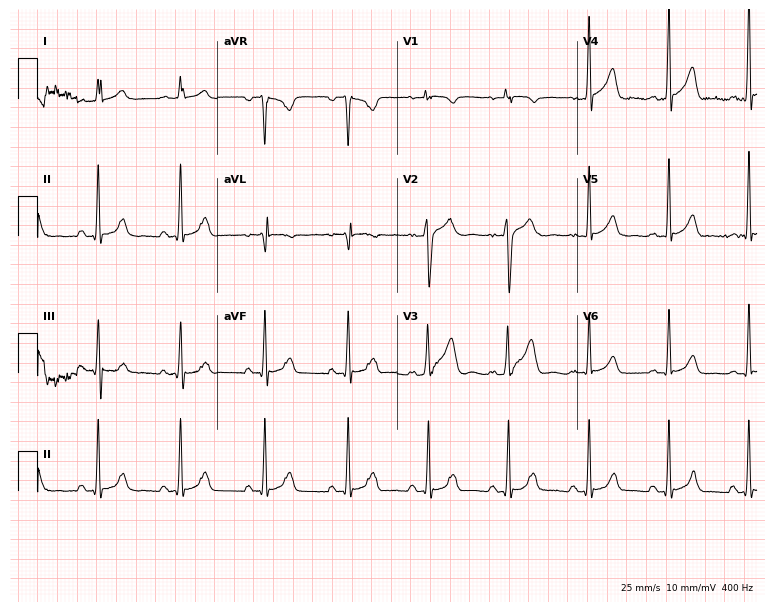
12-lead ECG from a man, 48 years old (7.3-second recording at 400 Hz). Recorded interpretation: within normal limits.